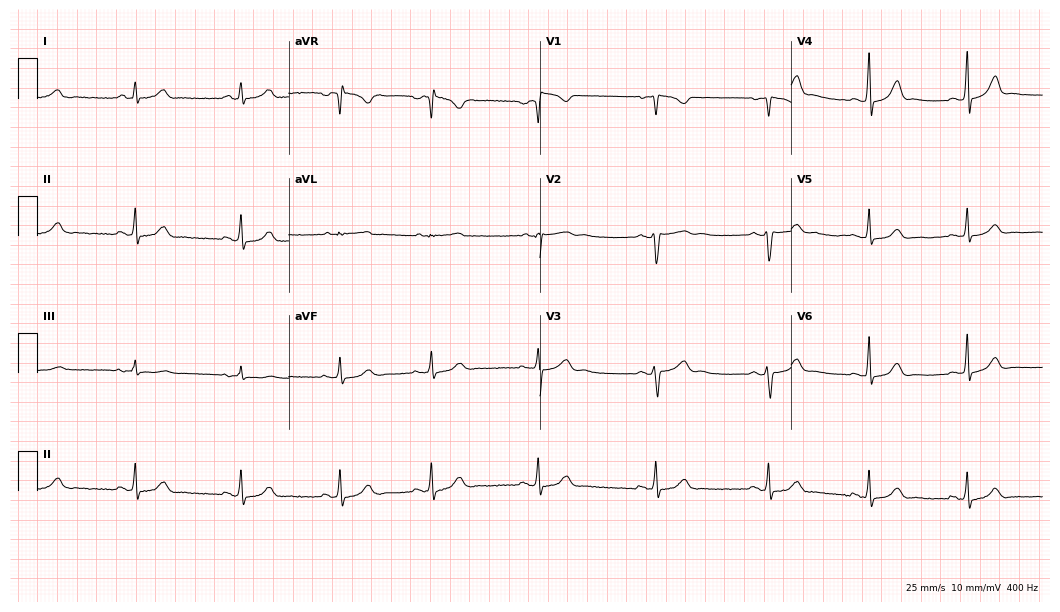
ECG (10.2-second recording at 400 Hz) — a woman, 37 years old. Labelled as a normal ECG.